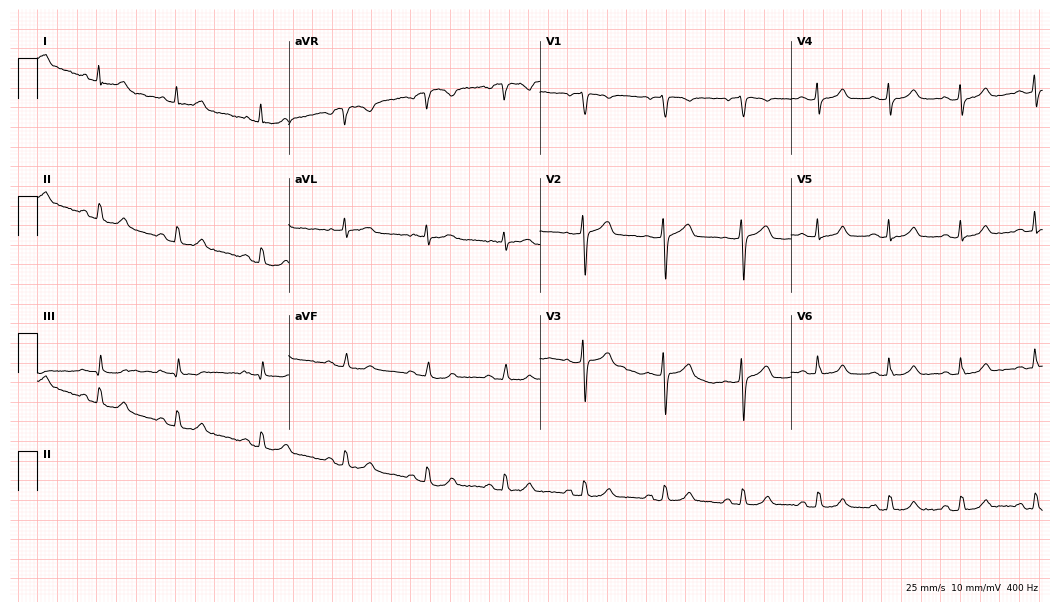
Standard 12-lead ECG recorded from a female patient, 50 years old. Read as a normal ECG.